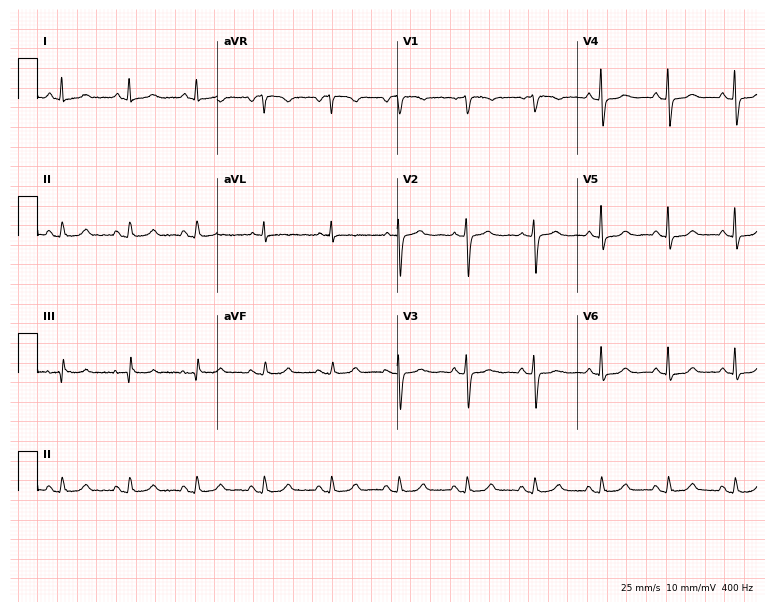
12-lead ECG from a 51-year-old woman. Recorded interpretation: within normal limits.